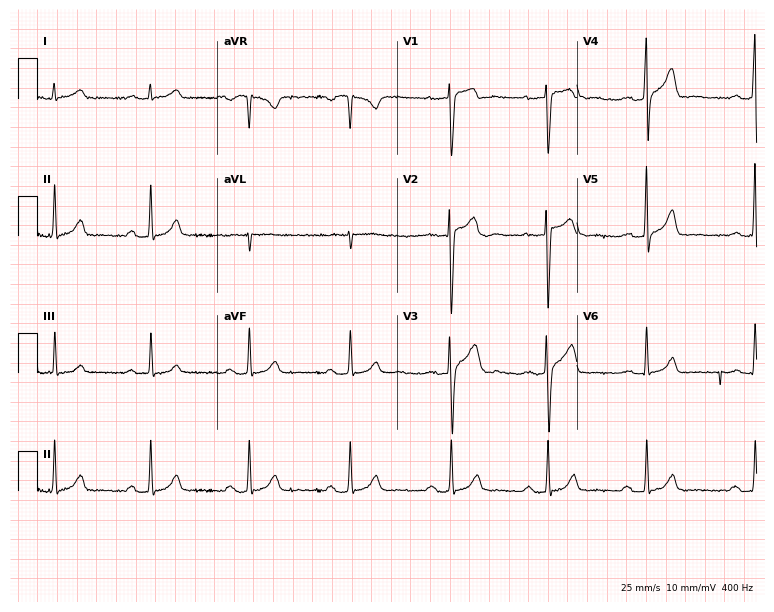
12-lead ECG from a 30-year-old male patient. Labelled as a normal ECG.